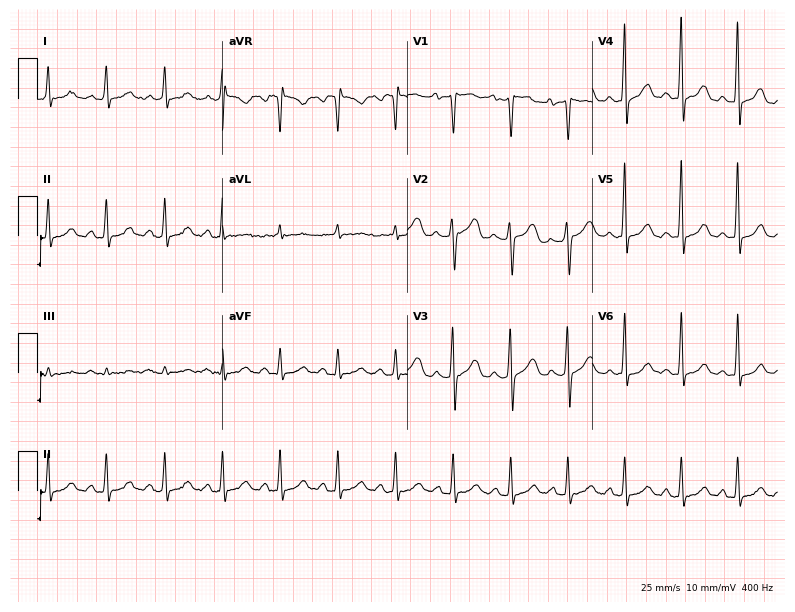
Electrocardiogram (7.5-second recording at 400 Hz), a 42-year-old woman. Overall reading on record: normal ECG.